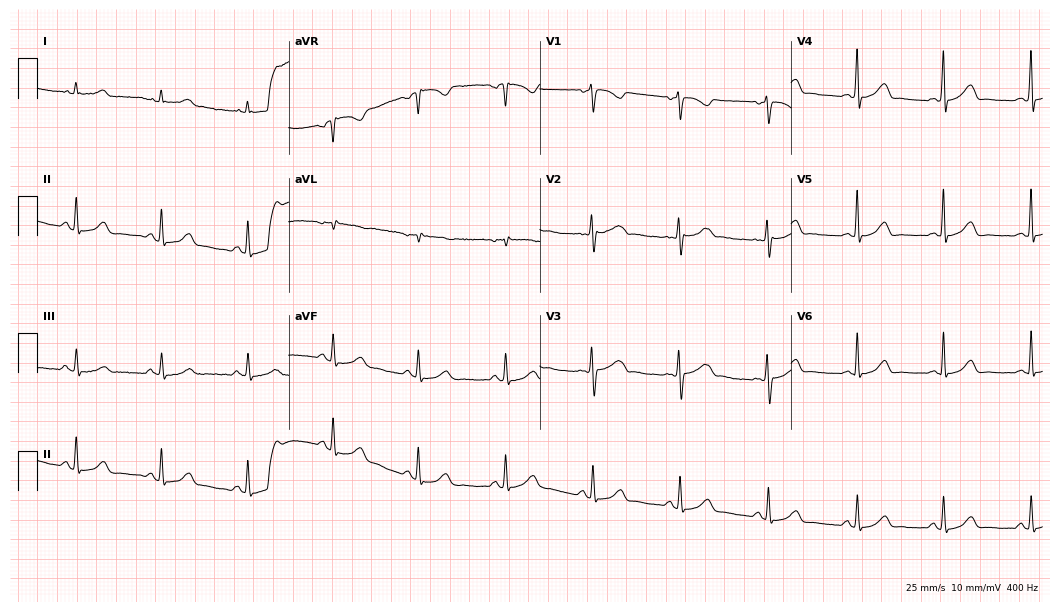
Standard 12-lead ECG recorded from a female, 40 years old. Read as a normal ECG.